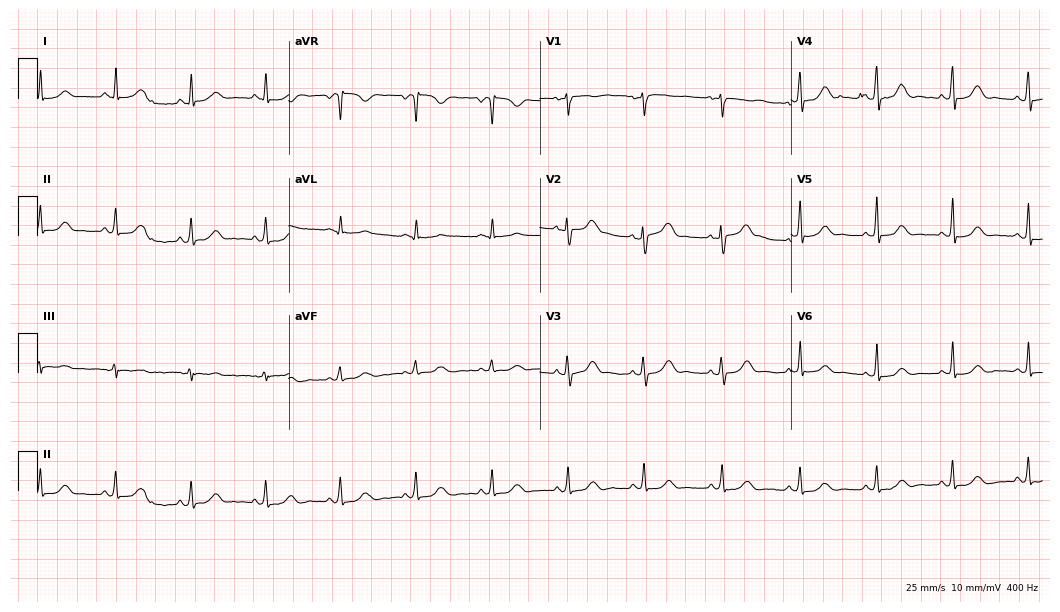
Resting 12-lead electrocardiogram. Patient: a female, 52 years old. Read as a normal ECG.